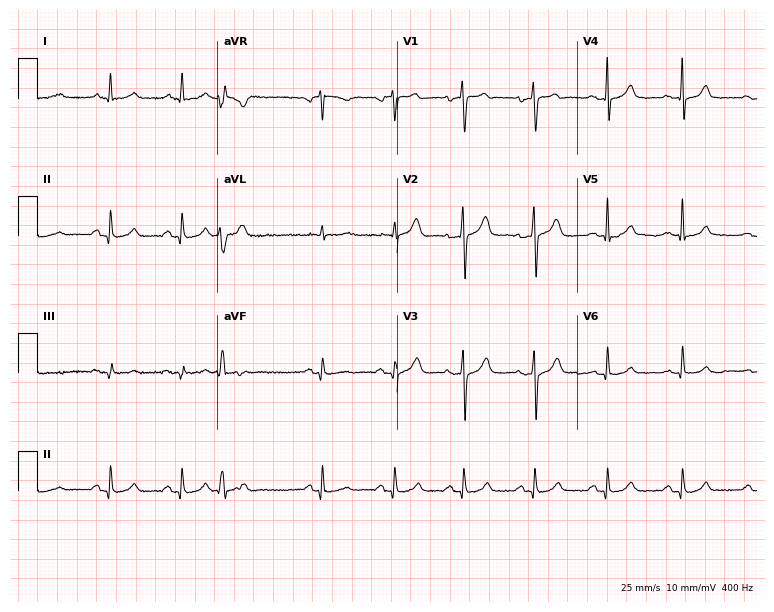
ECG — a 54-year-old man. Screened for six findings — first-degree AV block, right bundle branch block (RBBB), left bundle branch block (LBBB), sinus bradycardia, atrial fibrillation (AF), sinus tachycardia — none is recorded.